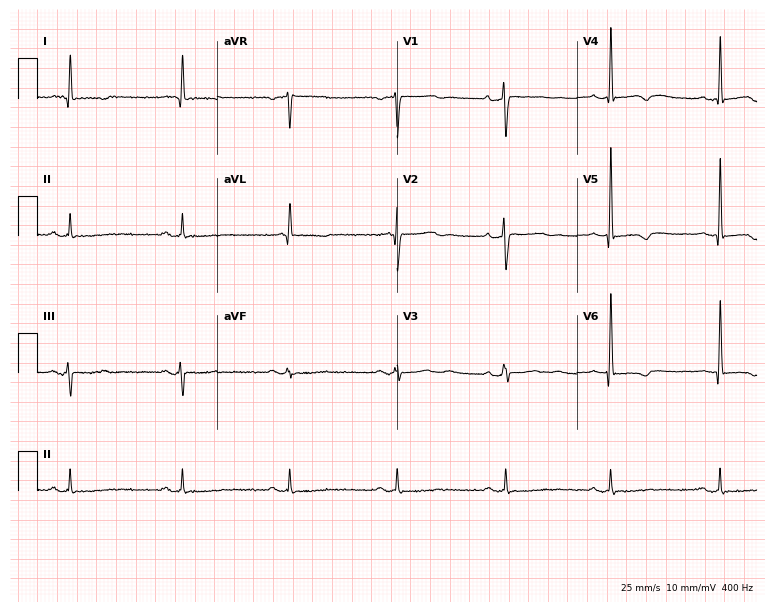
12-lead ECG from a 60-year-old woman. No first-degree AV block, right bundle branch block (RBBB), left bundle branch block (LBBB), sinus bradycardia, atrial fibrillation (AF) or sinus tachycardia recorded for this tracing.